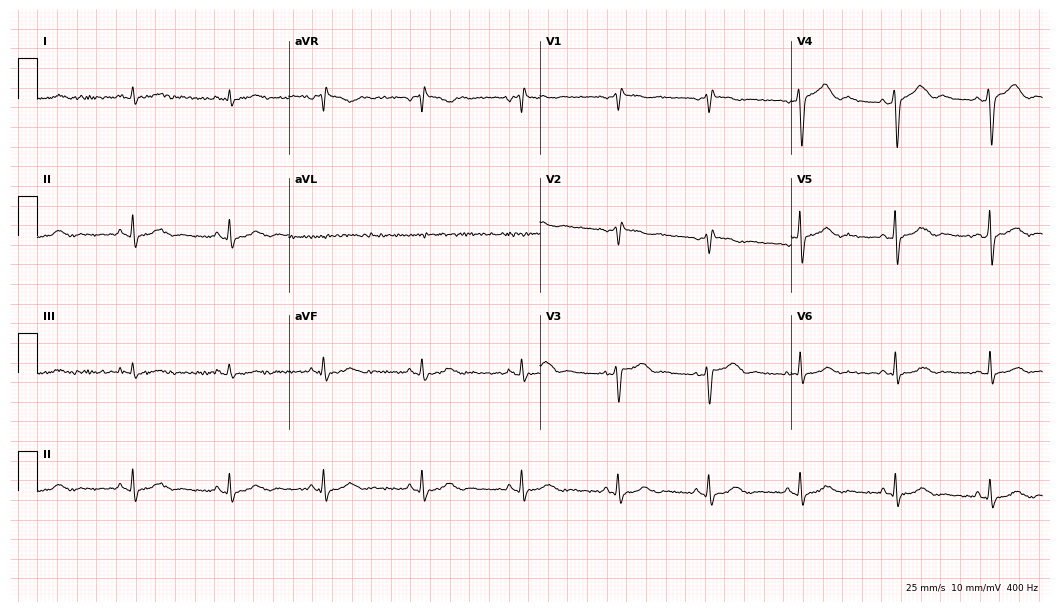
12-lead ECG from a female patient, 56 years old. Screened for six findings — first-degree AV block, right bundle branch block (RBBB), left bundle branch block (LBBB), sinus bradycardia, atrial fibrillation (AF), sinus tachycardia — none is recorded. Findings outside these six are not listed.